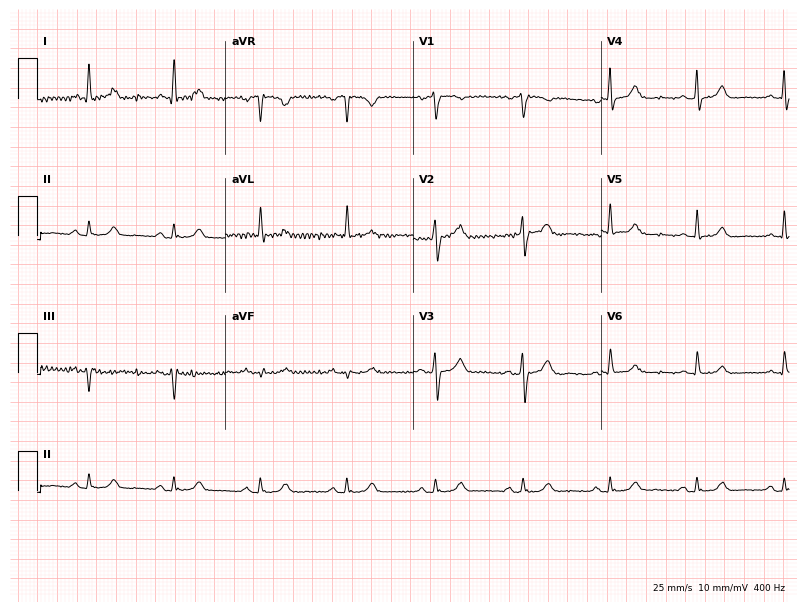
Electrocardiogram (7.7-second recording at 400 Hz), a female patient, 81 years old. Overall reading on record: normal ECG.